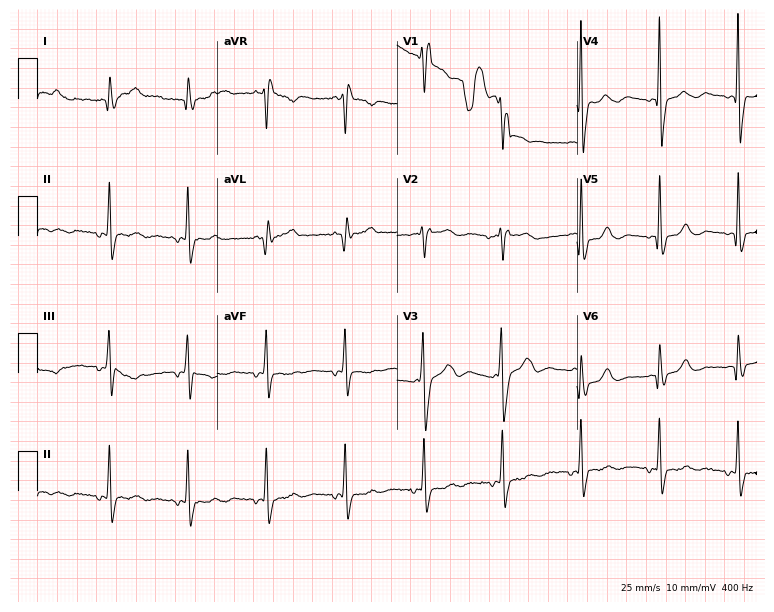
12-lead ECG (7.3-second recording at 400 Hz) from a man, 82 years old. Findings include right bundle branch block.